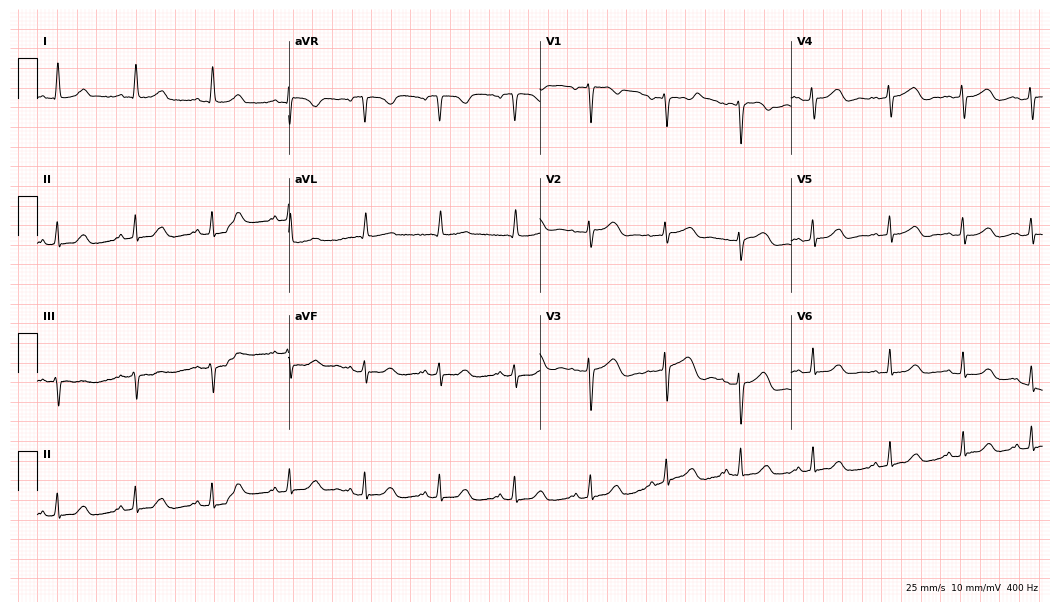
ECG — an 80-year-old female patient. Labelled as a normal ECG.